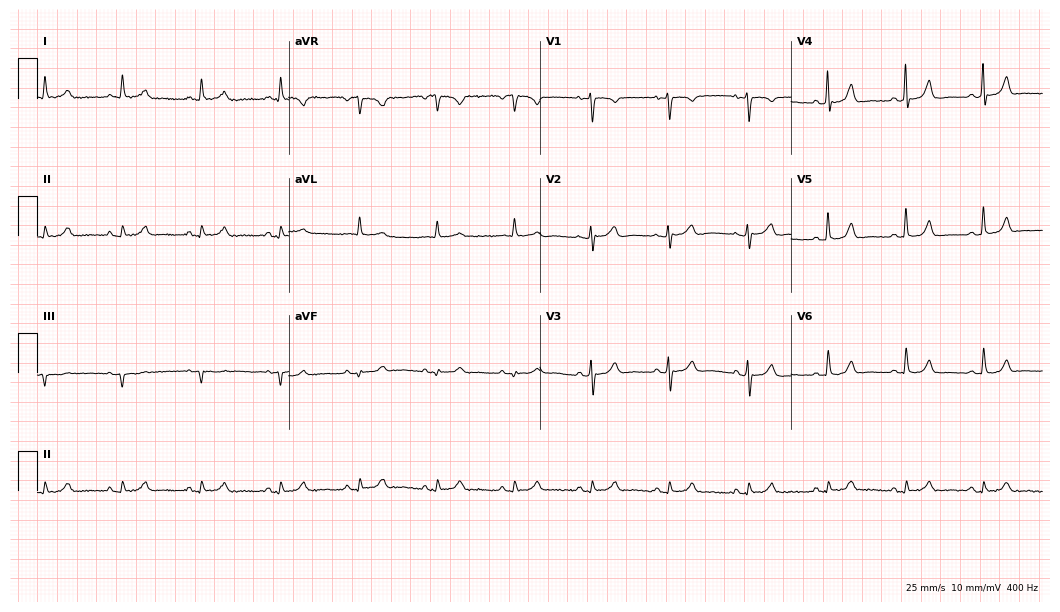
Electrocardiogram, a female patient, 81 years old. Overall reading on record: normal ECG.